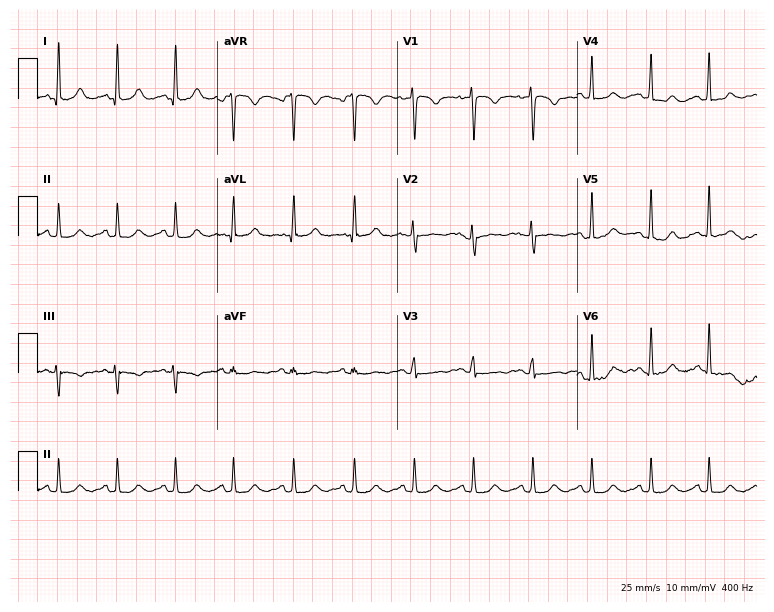
Electrocardiogram (7.3-second recording at 400 Hz), a 56-year-old woman. Of the six screened findings (first-degree AV block, right bundle branch block, left bundle branch block, sinus bradycardia, atrial fibrillation, sinus tachycardia), none is recorded.